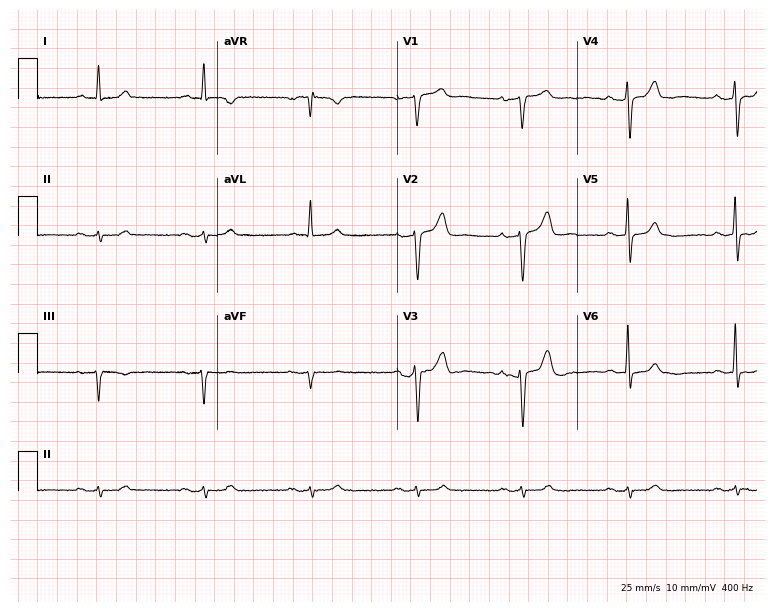
12-lead ECG (7.3-second recording at 400 Hz) from a male patient, 84 years old. Findings include first-degree AV block.